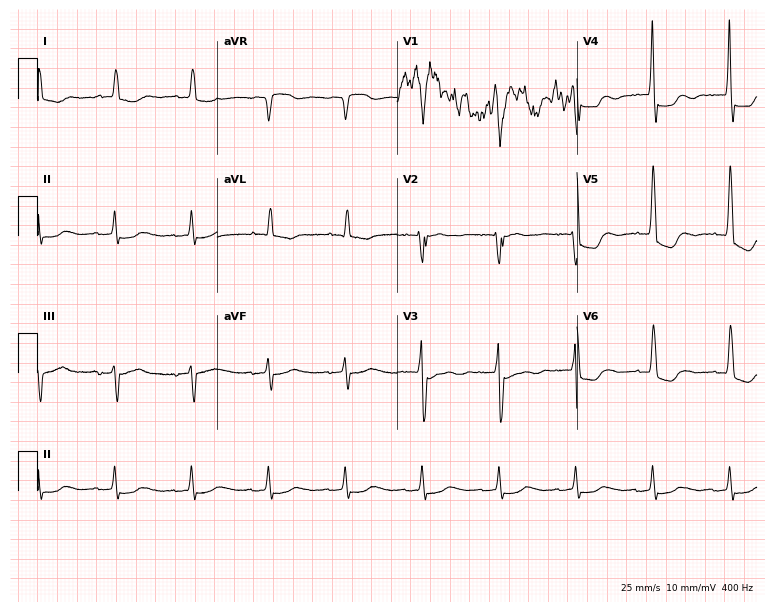
Standard 12-lead ECG recorded from a male, 78 years old. None of these six findings is recorded: first-degree AV block, right bundle branch block (RBBB), left bundle branch block (LBBB), sinus bradycardia, atrial fibrillation (AF), sinus tachycardia. Other findings, if any, are not listed.